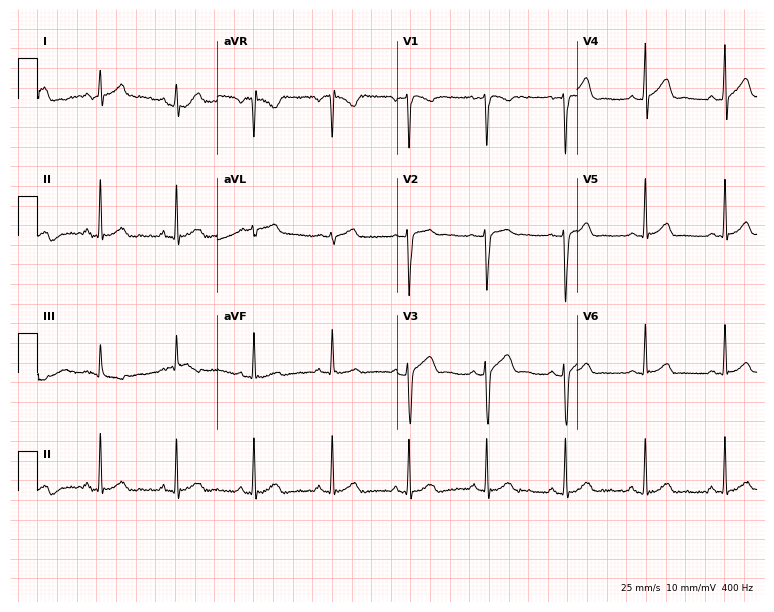
12-lead ECG from a male, 31 years old. Recorded interpretation: within normal limits.